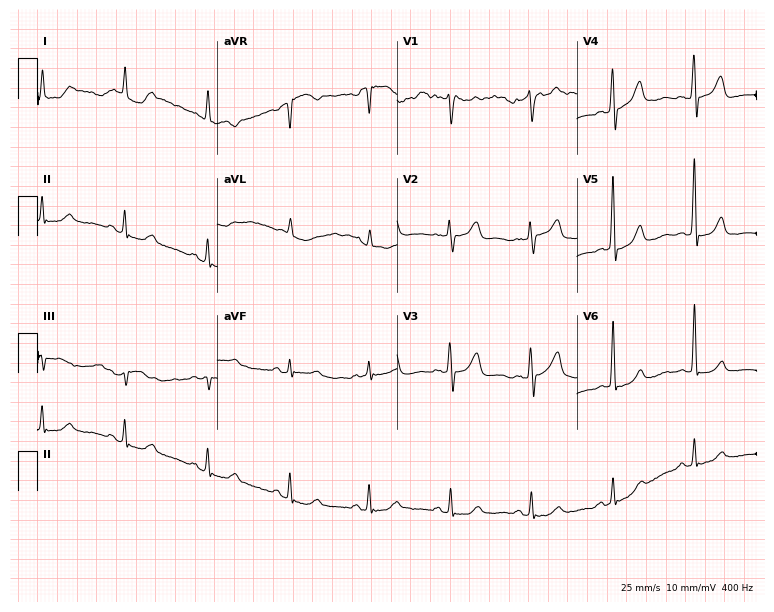
12-lead ECG from a 74-year-old man. Screened for six findings — first-degree AV block, right bundle branch block, left bundle branch block, sinus bradycardia, atrial fibrillation, sinus tachycardia — none is recorded. Other findings, if any, are not listed.